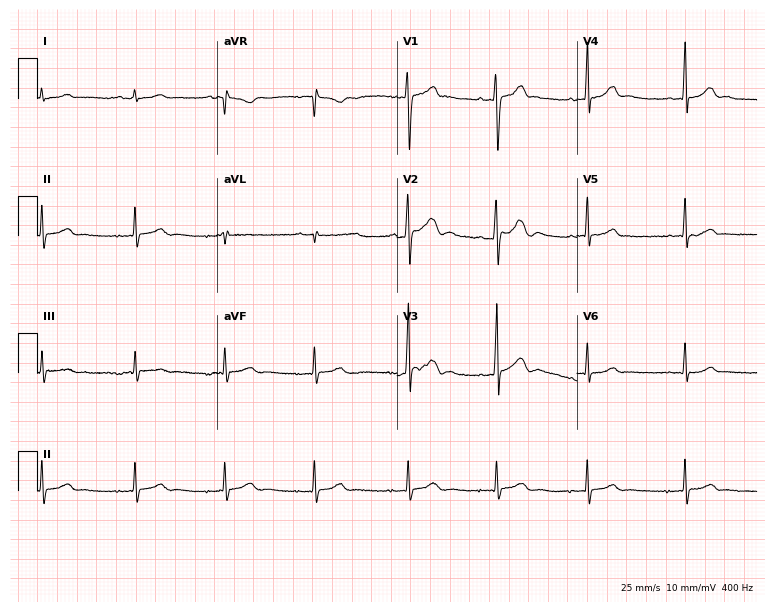
12-lead ECG from a 20-year-old male patient. Labelled as a normal ECG.